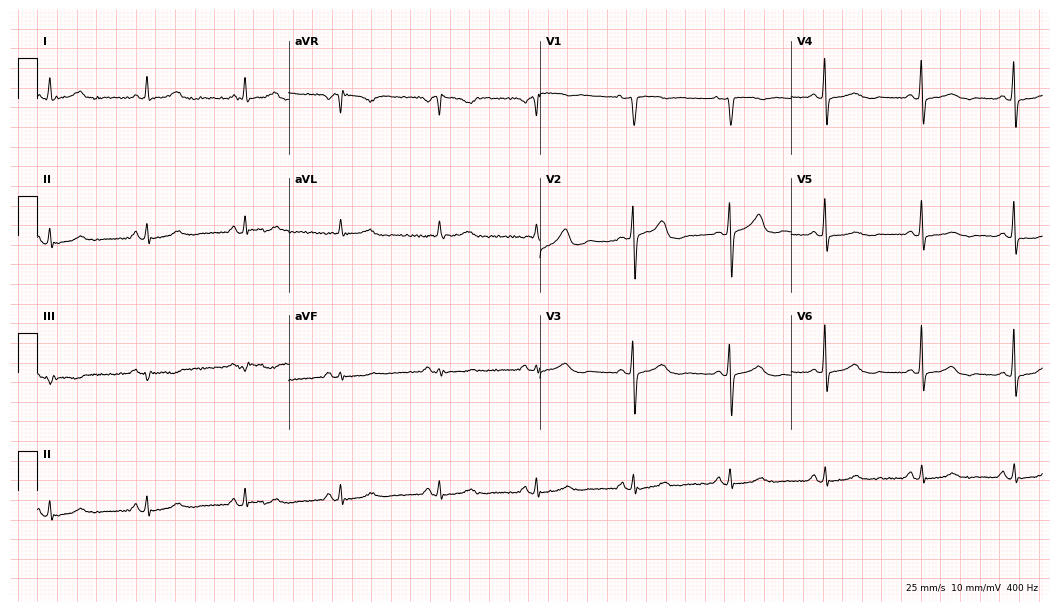
Standard 12-lead ECG recorded from a 63-year-old female patient. Read as a normal ECG.